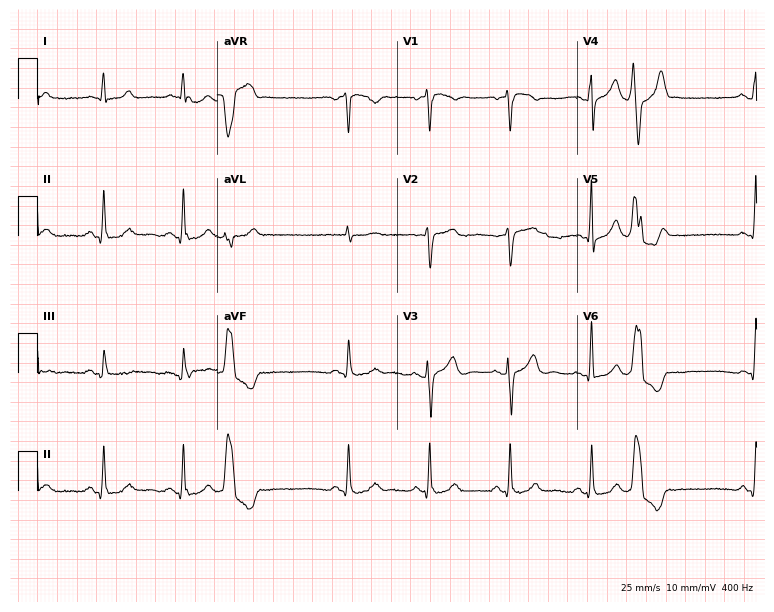
Standard 12-lead ECG recorded from a man, 52 years old. None of these six findings is recorded: first-degree AV block, right bundle branch block (RBBB), left bundle branch block (LBBB), sinus bradycardia, atrial fibrillation (AF), sinus tachycardia.